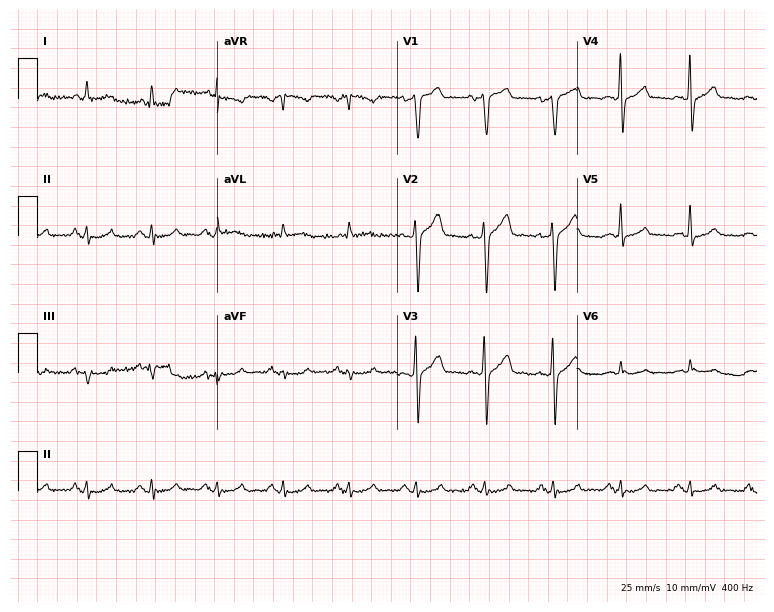
Resting 12-lead electrocardiogram (7.3-second recording at 400 Hz). Patient: a male, 64 years old. Read as a normal ECG.